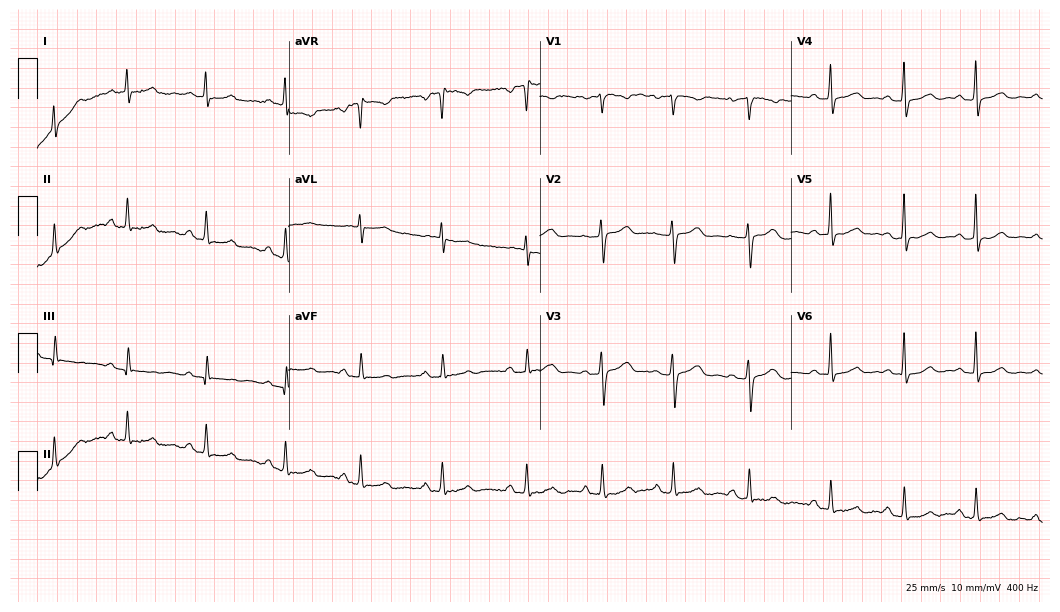
Electrocardiogram (10.2-second recording at 400 Hz), a female patient, 29 years old. Overall reading on record: normal ECG.